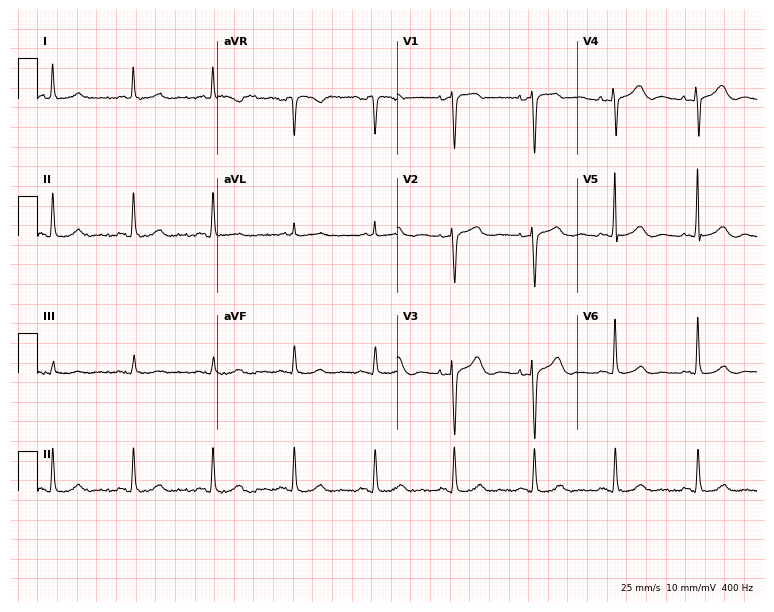
12-lead ECG from a female, 63 years old. No first-degree AV block, right bundle branch block, left bundle branch block, sinus bradycardia, atrial fibrillation or sinus tachycardia recorded for this tracing.